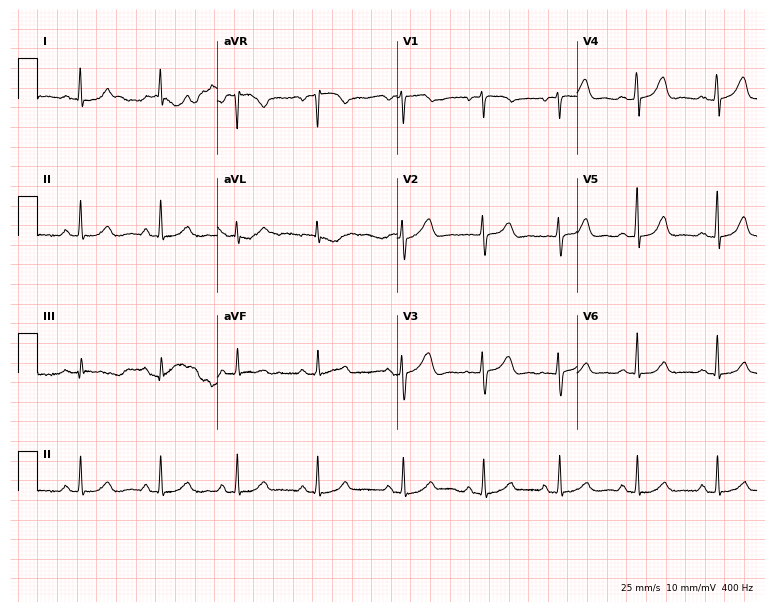
Standard 12-lead ECG recorded from a female, 50 years old. None of these six findings is recorded: first-degree AV block, right bundle branch block, left bundle branch block, sinus bradycardia, atrial fibrillation, sinus tachycardia. Only these six findings were labelled.